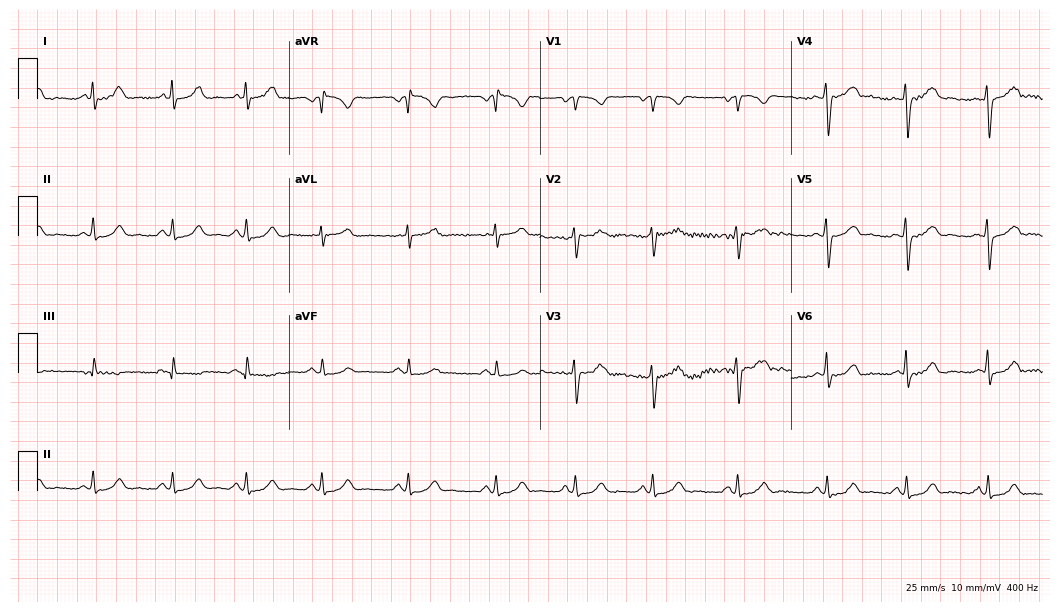
Standard 12-lead ECG recorded from a female, 29 years old (10.2-second recording at 400 Hz). Read as a normal ECG.